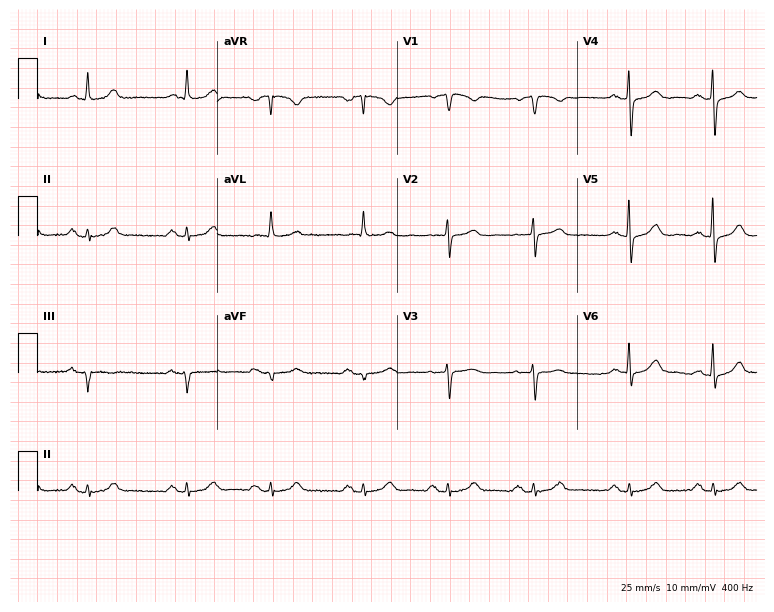
12-lead ECG from a male patient, 84 years old. Recorded interpretation: within normal limits.